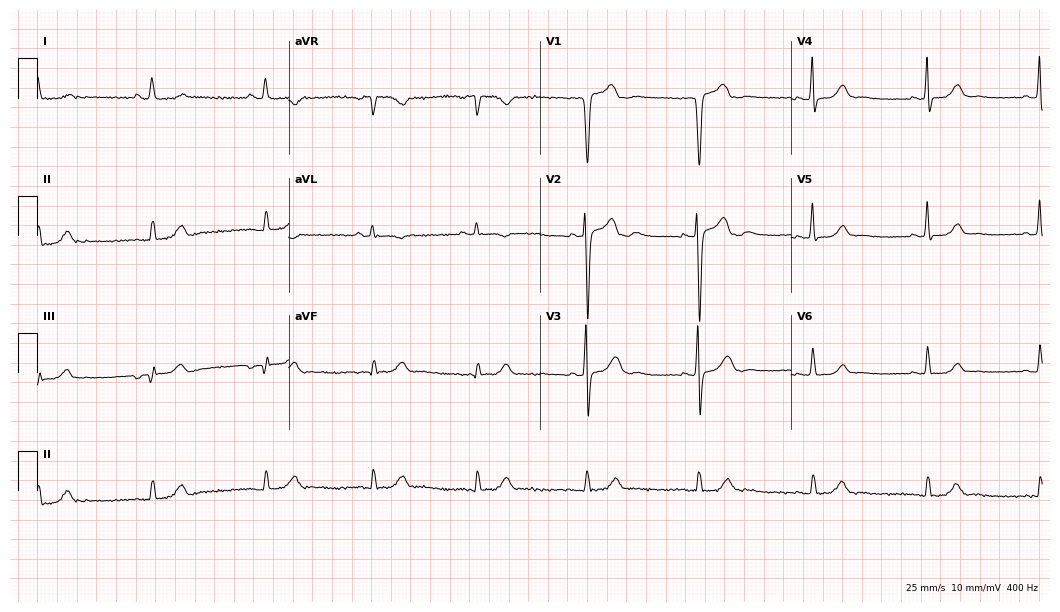
12-lead ECG from a female patient, 40 years old. Recorded interpretation: within normal limits.